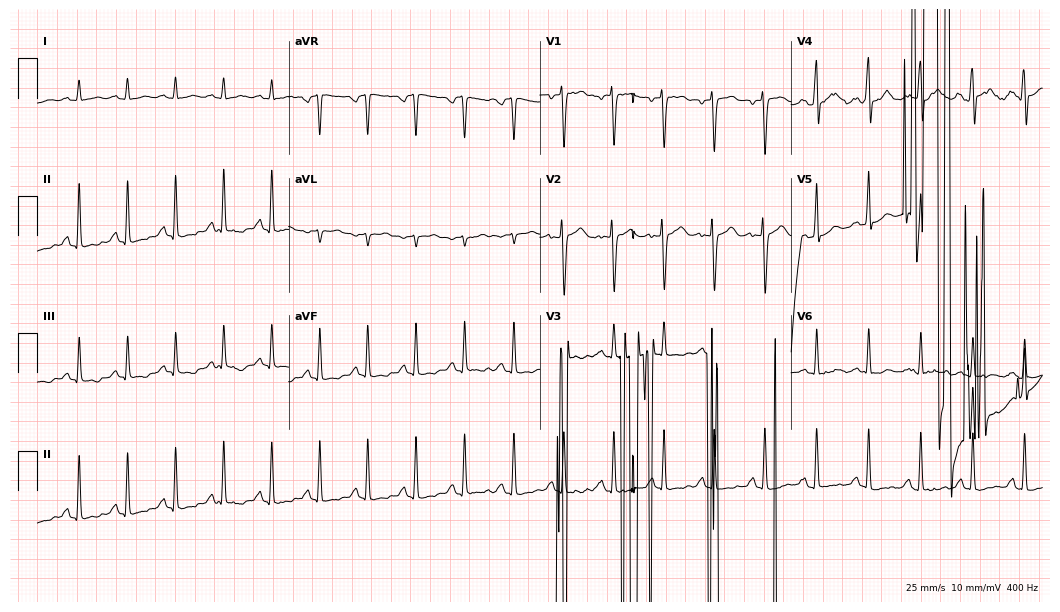
Standard 12-lead ECG recorded from a 21-year-old female. None of these six findings is recorded: first-degree AV block, right bundle branch block (RBBB), left bundle branch block (LBBB), sinus bradycardia, atrial fibrillation (AF), sinus tachycardia. Other findings, if any, are not listed.